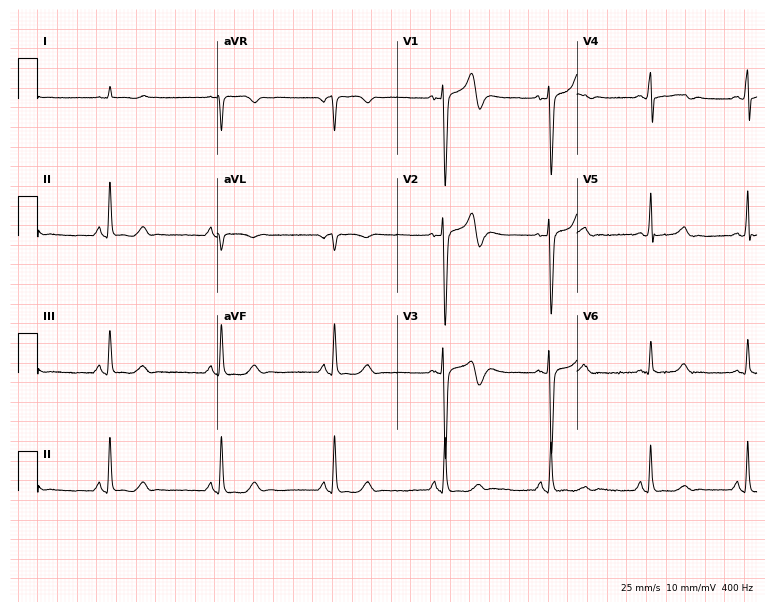
12-lead ECG from a male patient, 56 years old (7.3-second recording at 400 Hz). No first-degree AV block, right bundle branch block (RBBB), left bundle branch block (LBBB), sinus bradycardia, atrial fibrillation (AF) or sinus tachycardia recorded for this tracing. Findings outside these six are not listed.